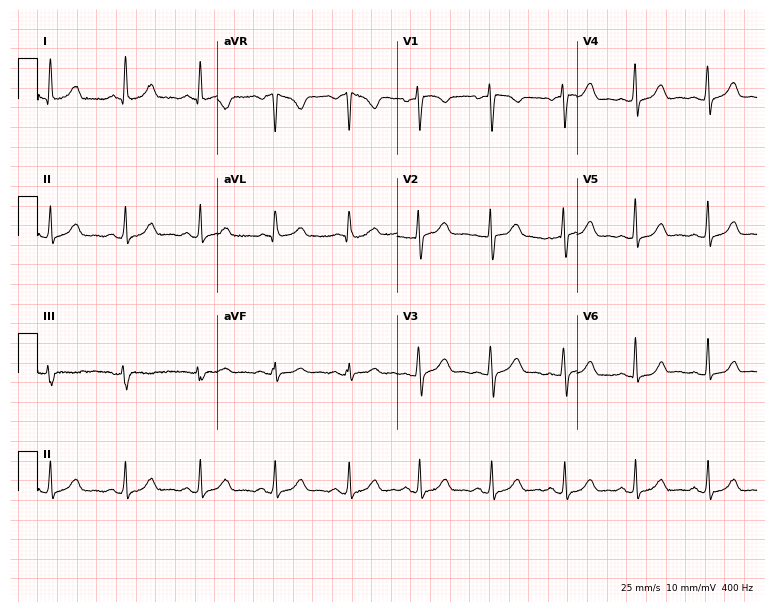
Resting 12-lead electrocardiogram. Patient: a female, 38 years old. Read as a normal ECG.